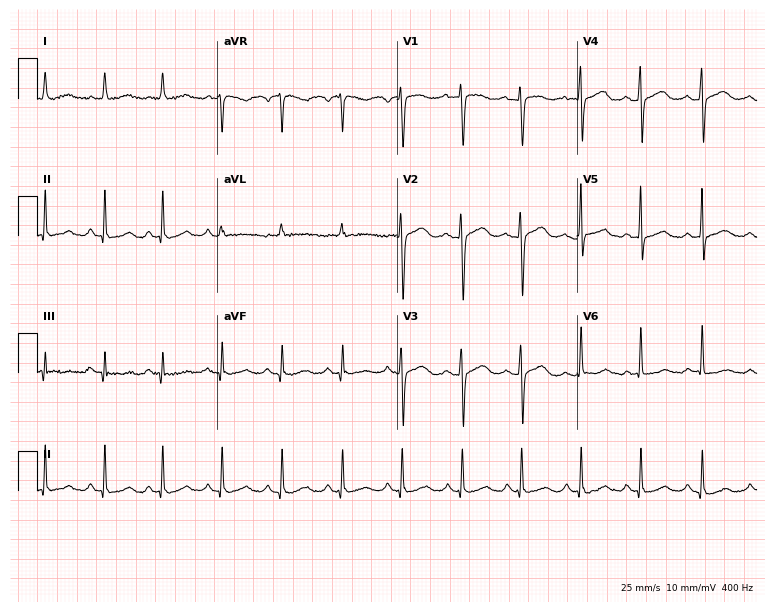
12-lead ECG from a female patient, 49 years old. No first-degree AV block, right bundle branch block, left bundle branch block, sinus bradycardia, atrial fibrillation or sinus tachycardia recorded for this tracing.